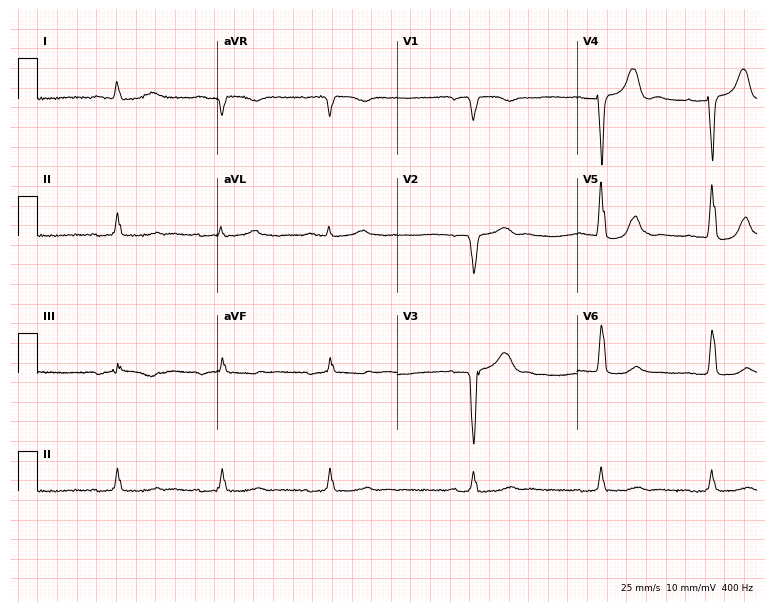
Resting 12-lead electrocardiogram. Patient: a man, 74 years old. None of these six findings is recorded: first-degree AV block, right bundle branch block, left bundle branch block, sinus bradycardia, atrial fibrillation, sinus tachycardia.